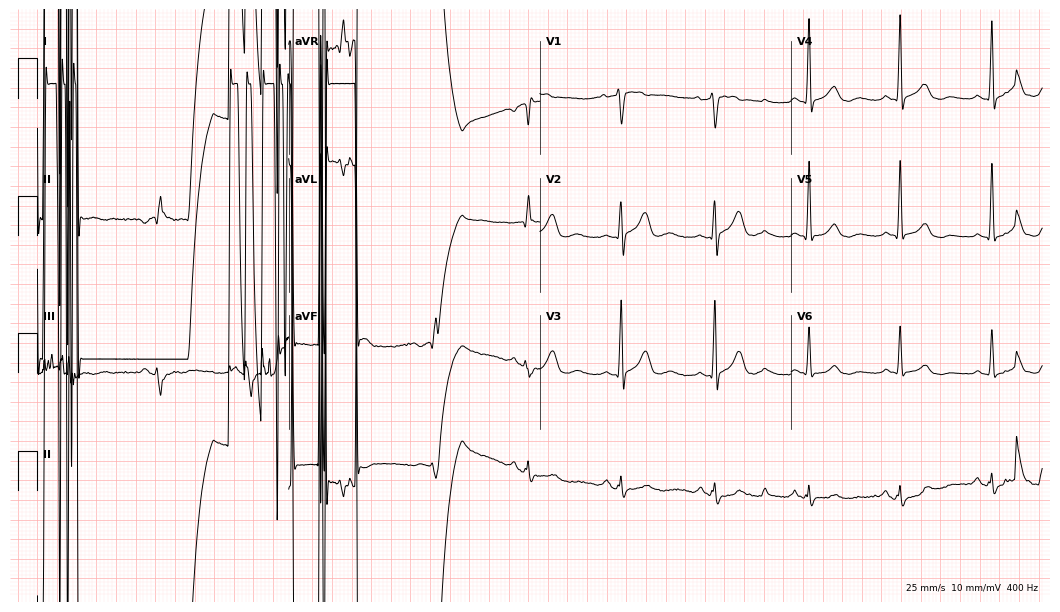
ECG (10.2-second recording at 400 Hz) — a 68-year-old male. Screened for six findings — first-degree AV block, right bundle branch block (RBBB), left bundle branch block (LBBB), sinus bradycardia, atrial fibrillation (AF), sinus tachycardia — none is recorded.